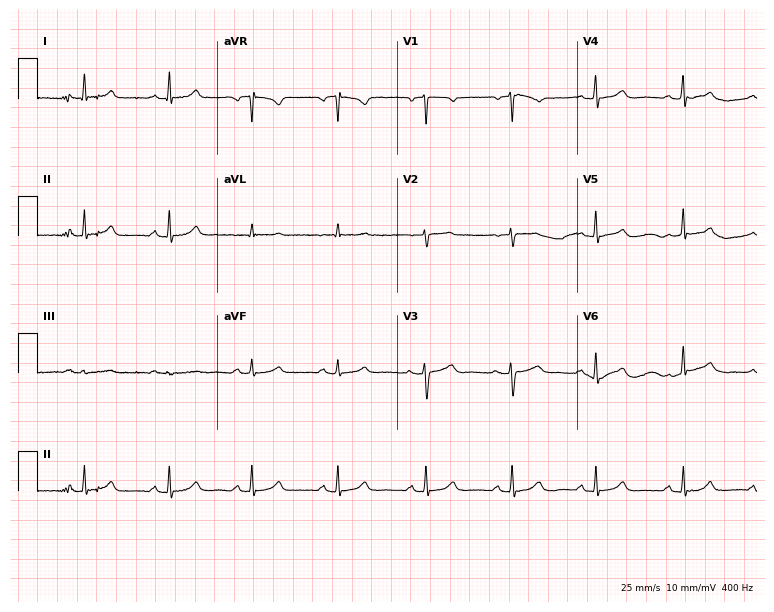
Electrocardiogram (7.3-second recording at 400 Hz), a female, 51 years old. Overall reading on record: normal ECG.